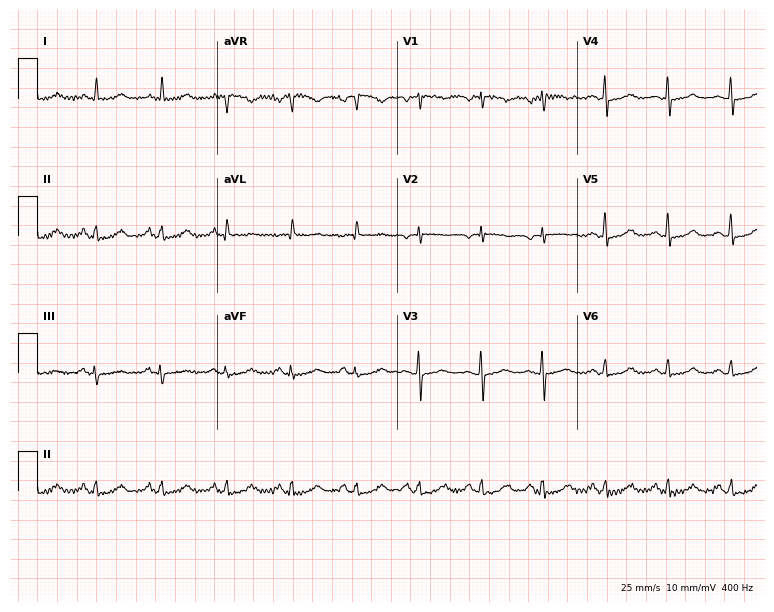
Standard 12-lead ECG recorded from a female, 72 years old (7.3-second recording at 400 Hz). Read as a normal ECG.